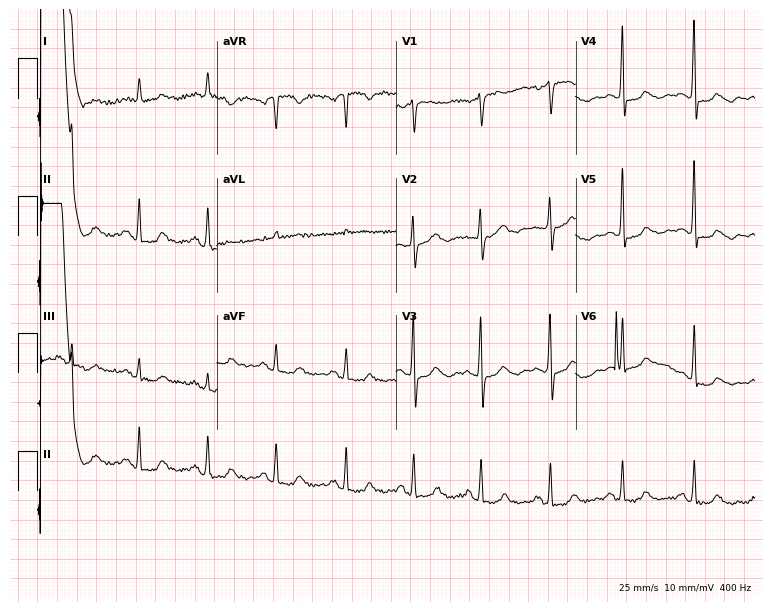
Resting 12-lead electrocardiogram. Patient: a 64-year-old female. Read as a normal ECG.